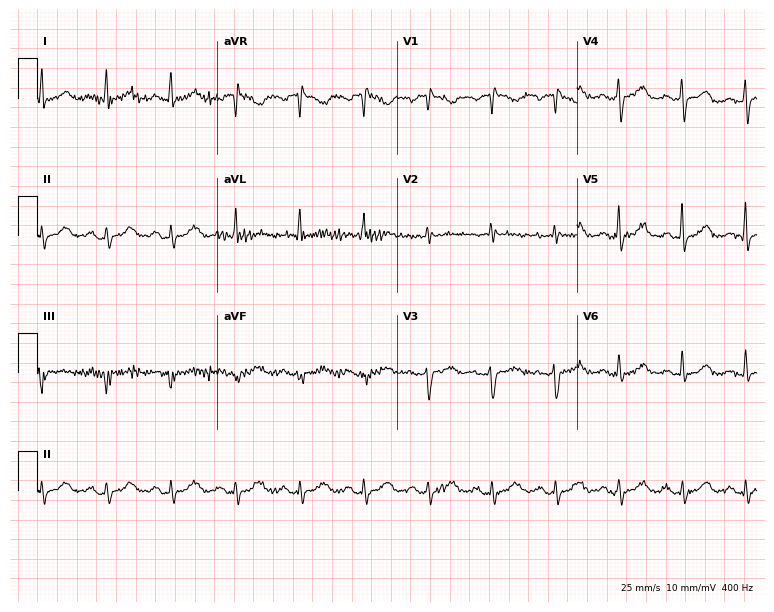
Standard 12-lead ECG recorded from a female, 56 years old (7.3-second recording at 400 Hz). None of these six findings is recorded: first-degree AV block, right bundle branch block, left bundle branch block, sinus bradycardia, atrial fibrillation, sinus tachycardia. Only these six findings were labelled.